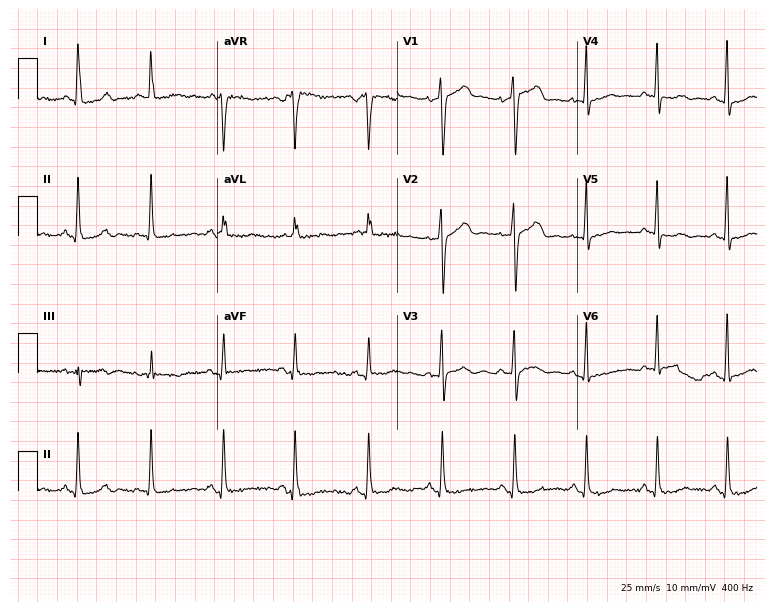
Resting 12-lead electrocardiogram (7.3-second recording at 400 Hz). Patient: a 75-year-old woman. None of these six findings is recorded: first-degree AV block, right bundle branch block (RBBB), left bundle branch block (LBBB), sinus bradycardia, atrial fibrillation (AF), sinus tachycardia.